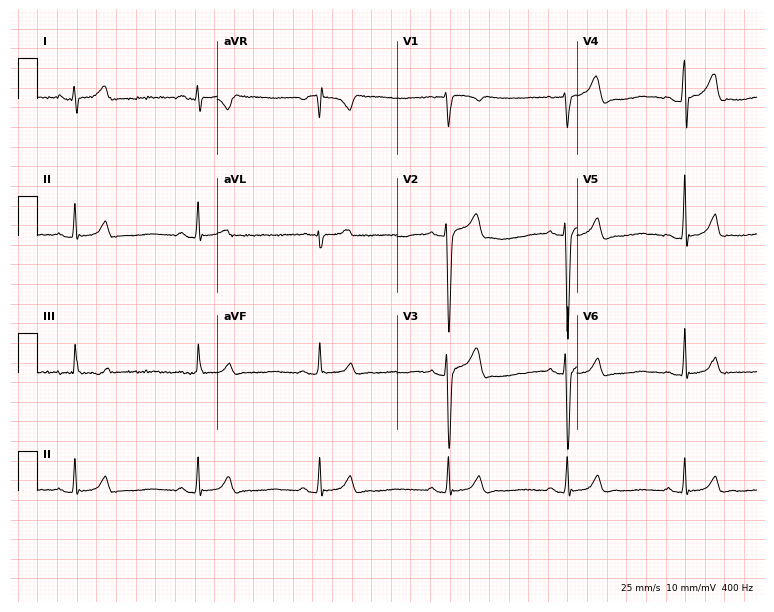
ECG — an 18-year-old man. Findings include sinus bradycardia (a sinus rate of 50 beats per minute or less).